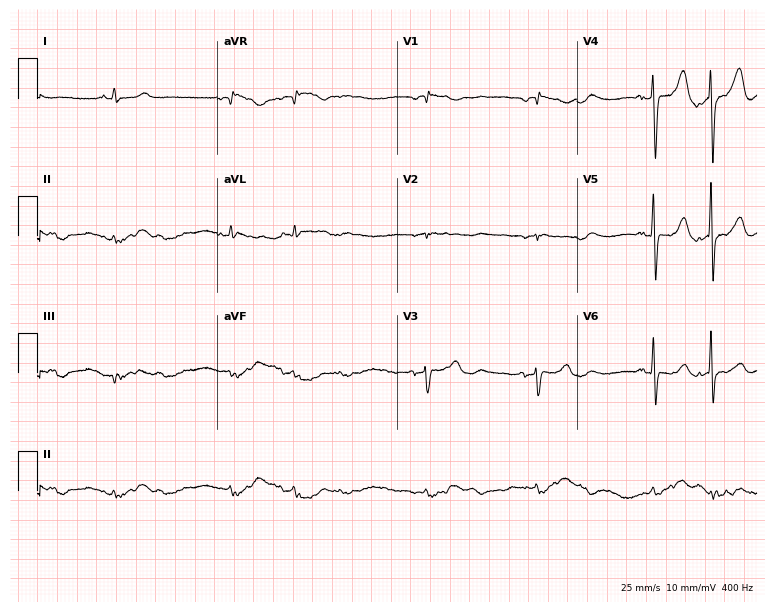
ECG — a 75-year-old male patient. Screened for six findings — first-degree AV block, right bundle branch block, left bundle branch block, sinus bradycardia, atrial fibrillation, sinus tachycardia — none is recorded. Findings outside these six are not listed.